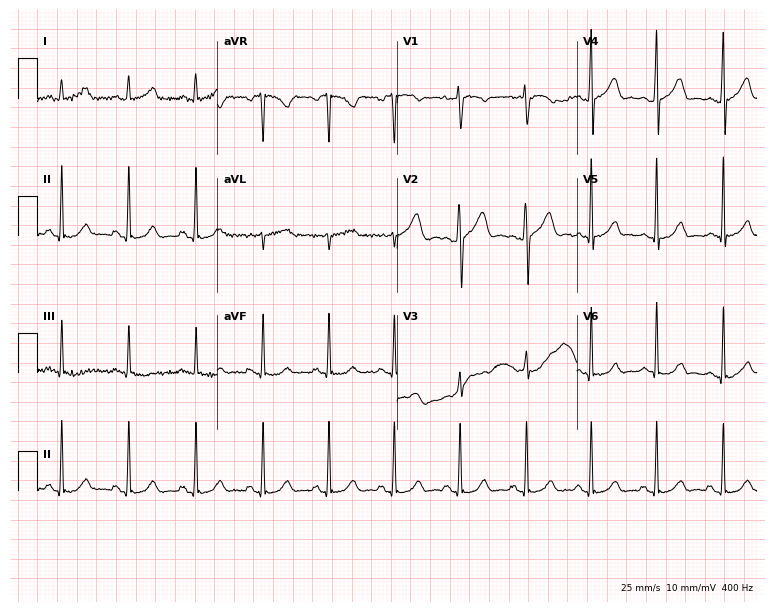
ECG — a woman, 19 years old. Labelled as a normal ECG.